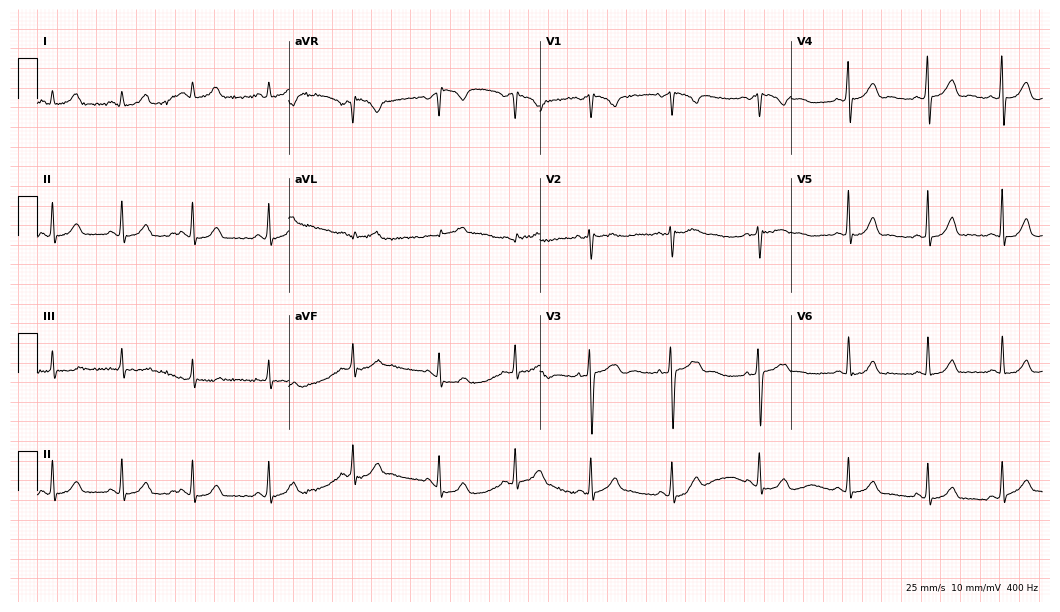
Electrocardiogram (10.2-second recording at 400 Hz), a female, 25 years old. Overall reading on record: normal ECG.